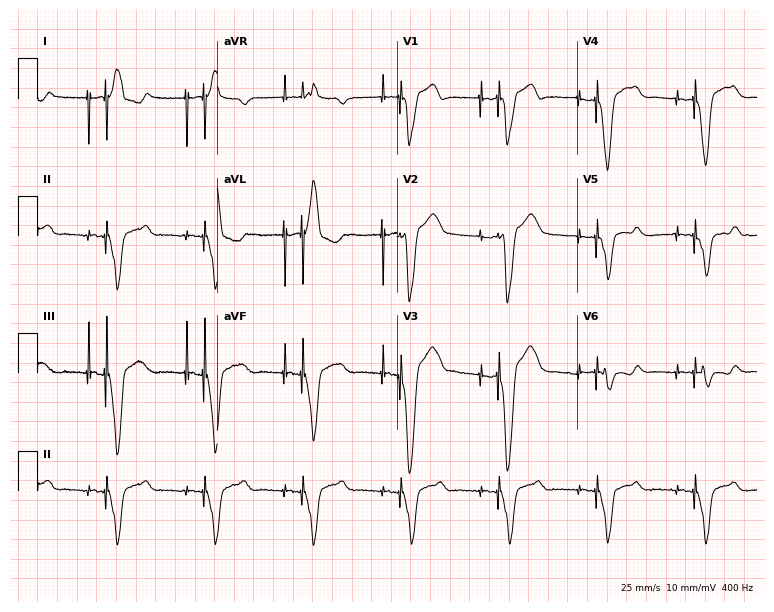
12-lead ECG from a man, 87 years old. Screened for six findings — first-degree AV block, right bundle branch block, left bundle branch block, sinus bradycardia, atrial fibrillation, sinus tachycardia — none is recorded.